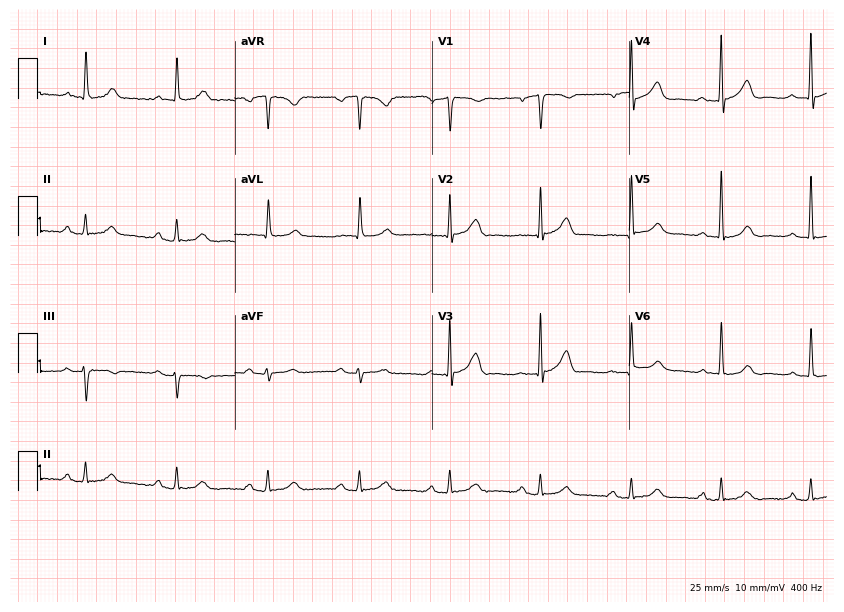
Electrocardiogram, a male, 84 years old. Interpretation includes first-degree AV block.